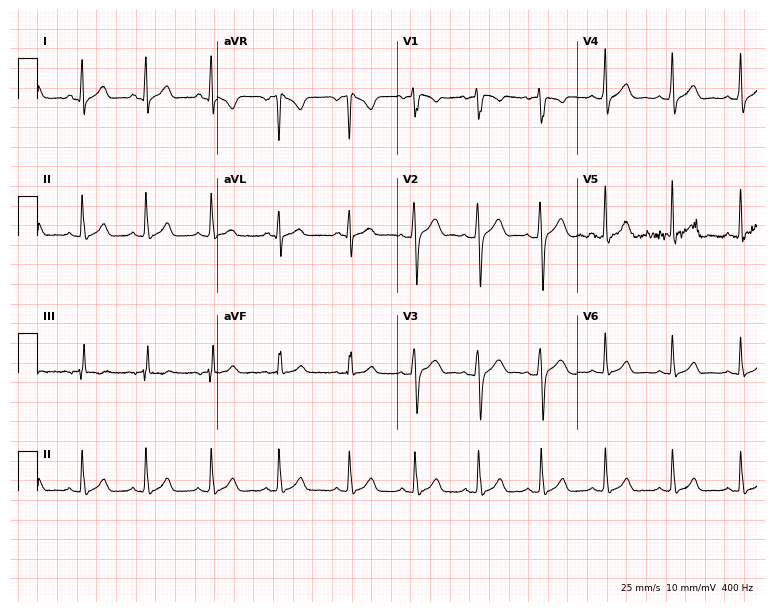
Standard 12-lead ECG recorded from a man, 21 years old (7.3-second recording at 400 Hz). Read as a normal ECG.